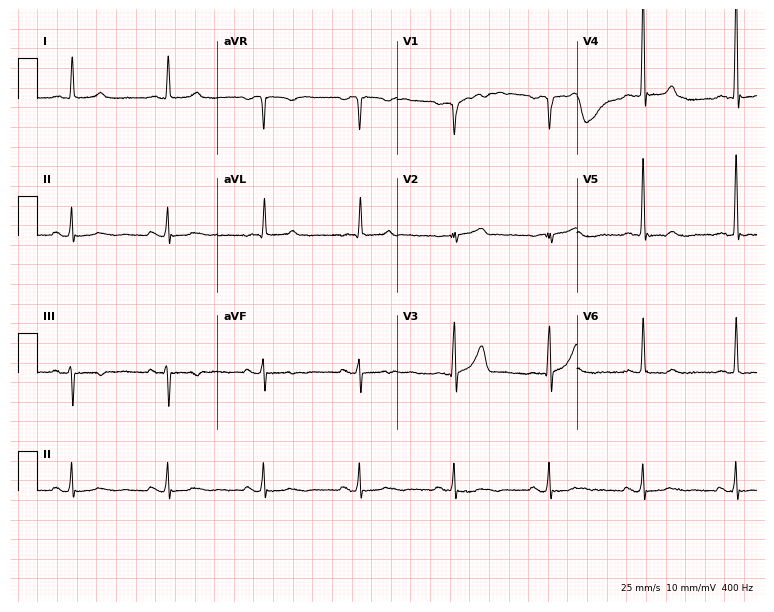
12-lead ECG from a male, 78 years old. No first-degree AV block, right bundle branch block, left bundle branch block, sinus bradycardia, atrial fibrillation or sinus tachycardia recorded for this tracing. Other findings, if any, are not listed.